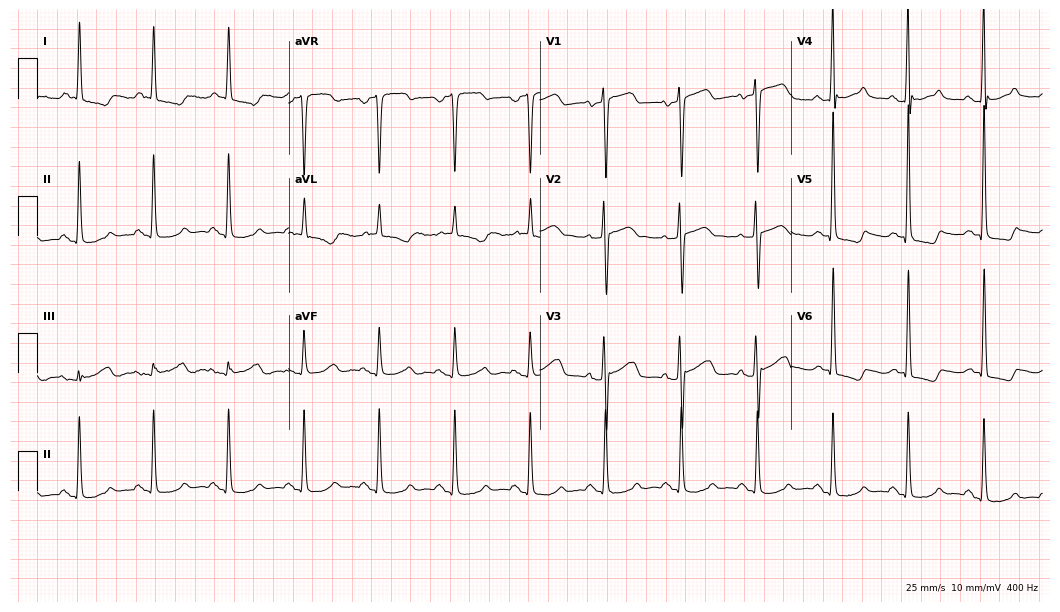
Electrocardiogram, a female, 63 years old. Of the six screened findings (first-degree AV block, right bundle branch block, left bundle branch block, sinus bradycardia, atrial fibrillation, sinus tachycardia), none is recorded.